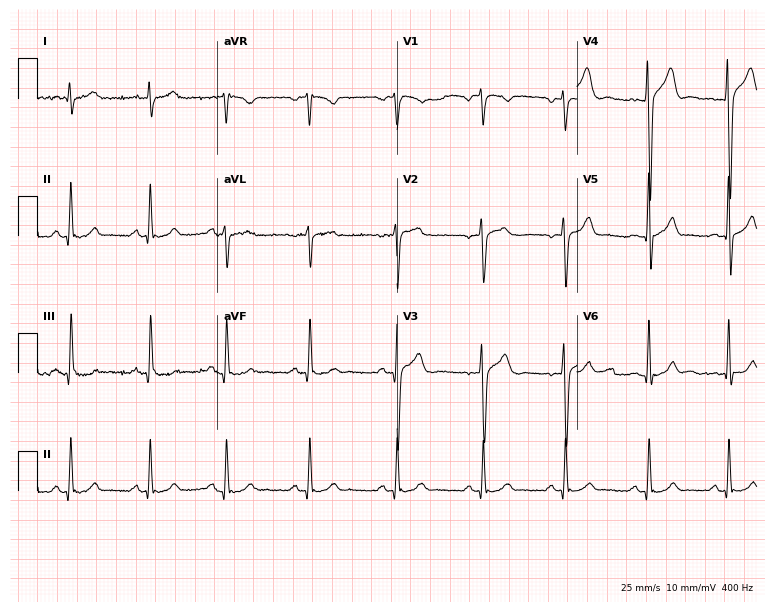
Standard 12-lead ECG recorded from a male patient, 17 years old. Read as a normal ECG.